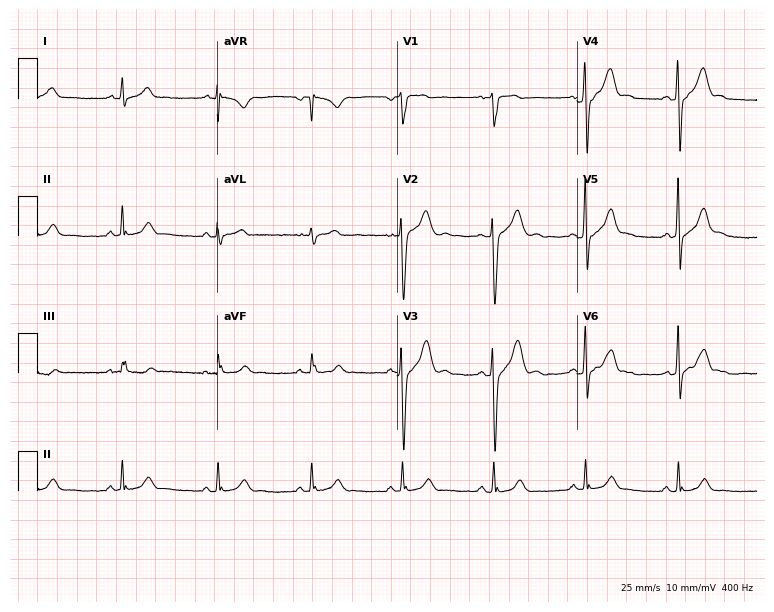
Resting 12-lead electrocardiogram. Patient: a 34-year-old male. Read as a normal ECG.